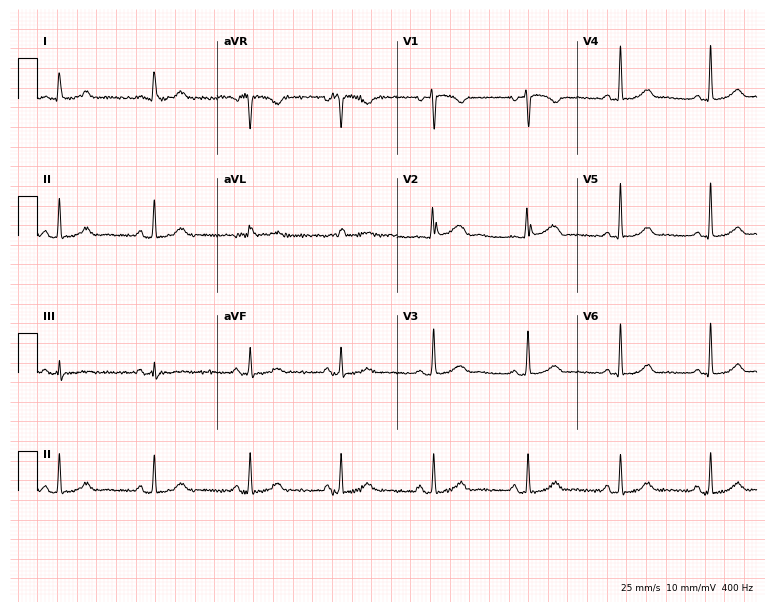
ECG (7.3-second recording at 400 Hz) — a woman, 45 years old. Labelled as a normal ECG.